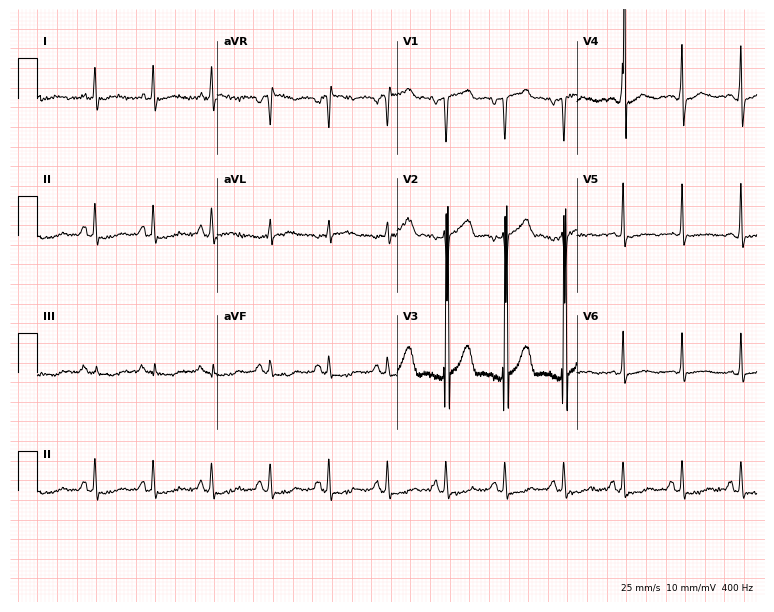
ECG — a man, 66 years old. Screened for six findings — first-degree AV block, right bundle branch block (RBBB), left bundle branch block (LBBB), sinus bradycardia, atrial fibrillation (AF), sinus tachycardia — none is recorded.